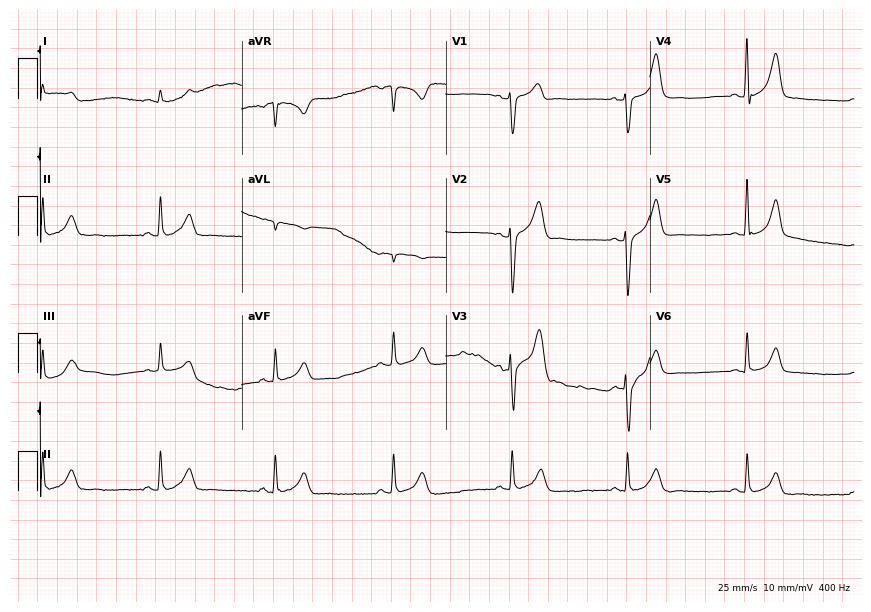
12-lead ECG (8.3-second recording at 400 Hz) from a male, 55 years old. Labelled as a normal ECG.